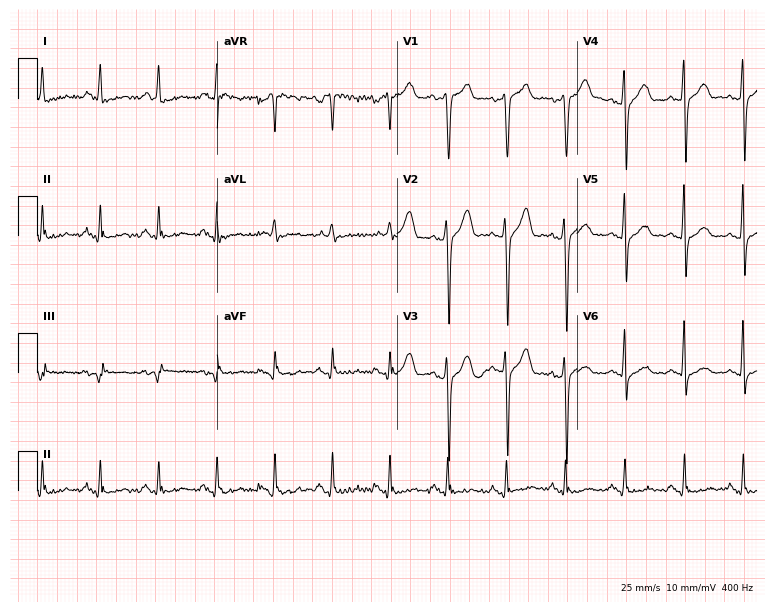
Standard 12-lead ECG recorded from a 49-year-old man. None of these six findings is recorded: first-degree AV block, right bundle branch block, left bundle branch block, sinus bradycardia, atrial fibrillation, sinus tachycardia.